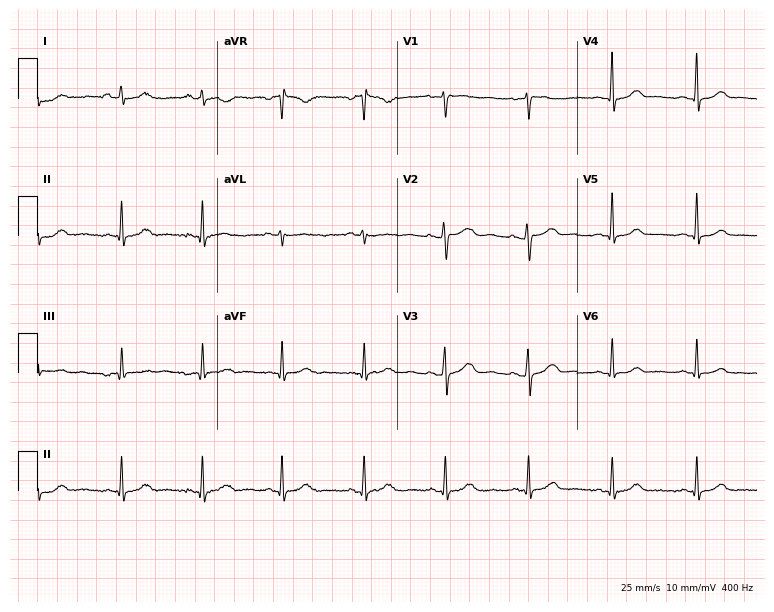
ECG (7.3-second recording at 400 Hz) — a female patient, 44 years old. Labelled as a normal ECG.